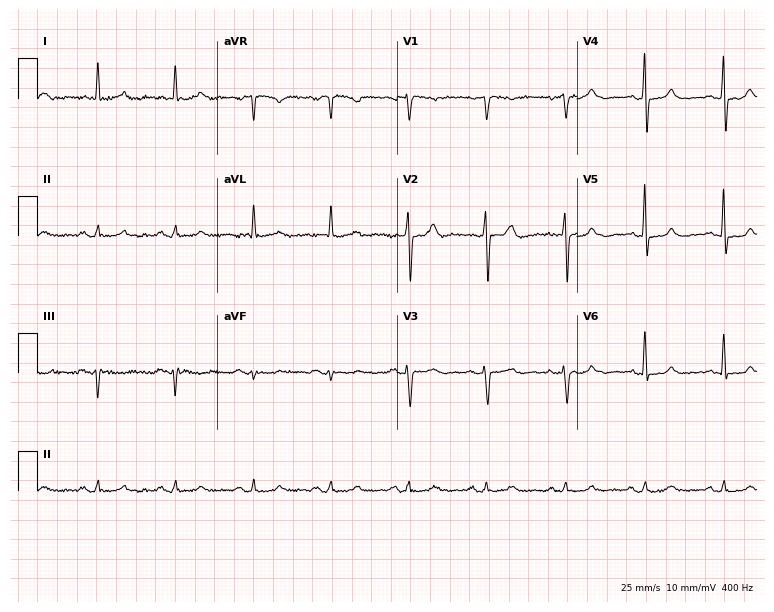
Standard 12-lead ECG recorded from a 78-year-old man. Read as a normal ECG.